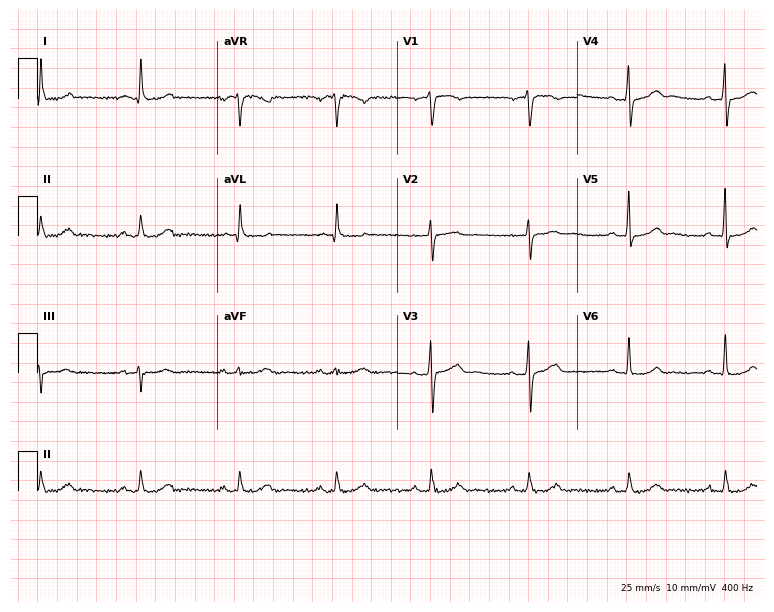
Standard 12-lead ECG recorded from a man, 46 years old. Read as a normal ECG.